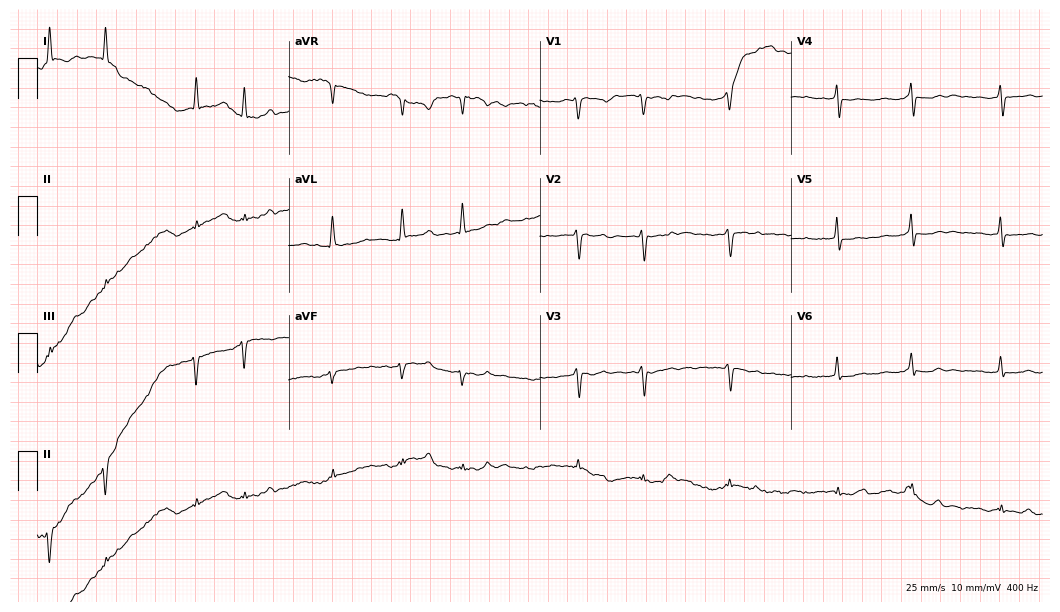
12-lead ECG from a 64-year-old man (10.2-second recording at 400 Hz). Shows atrial fibrillation.